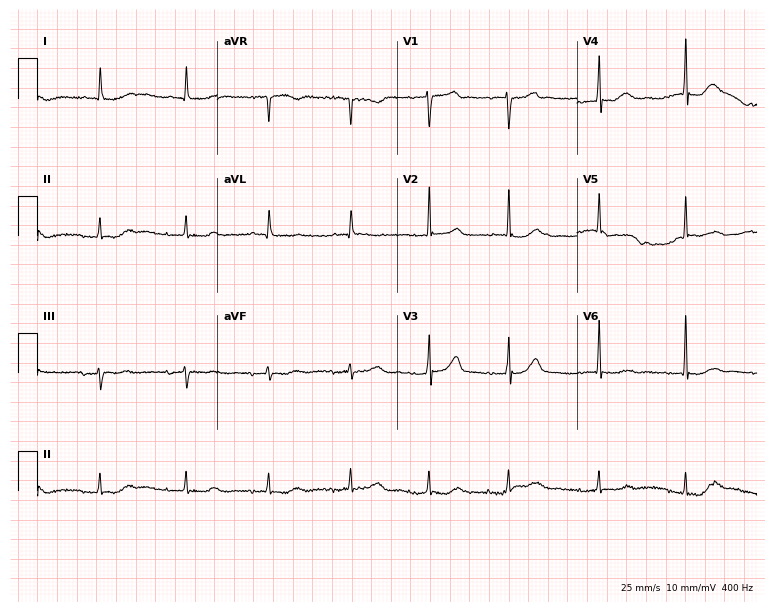
12-lead ECG from an 80-year-old female. Recorded interpretation: within normal limits.